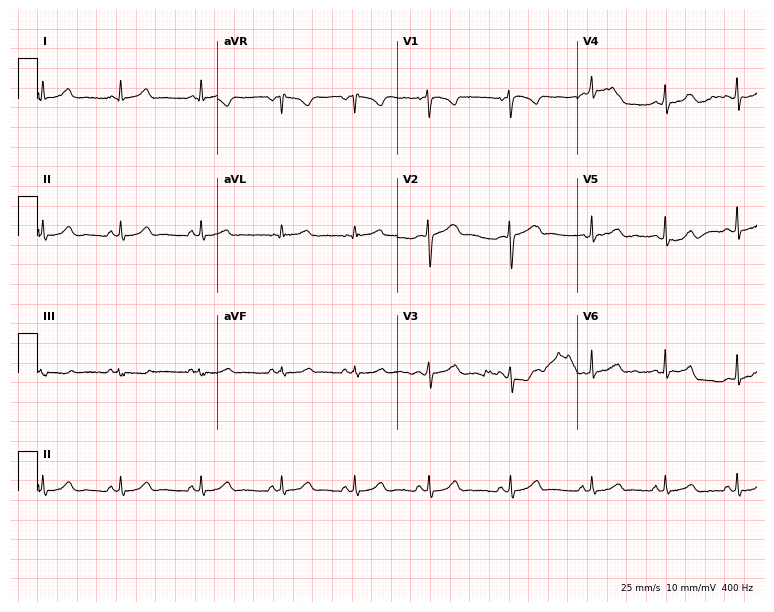
Resting 12-lead electrocardiogram (7.3-second recording at 400 Hz). Patient: a 22-year-old woman. None of these six findings is recorded: first-degree AV block, right bundle branch block, left bundle branch block, sinus bradycardia, atrial fibrillation, sinus tachycardia. Other findings, if any, are not listed.